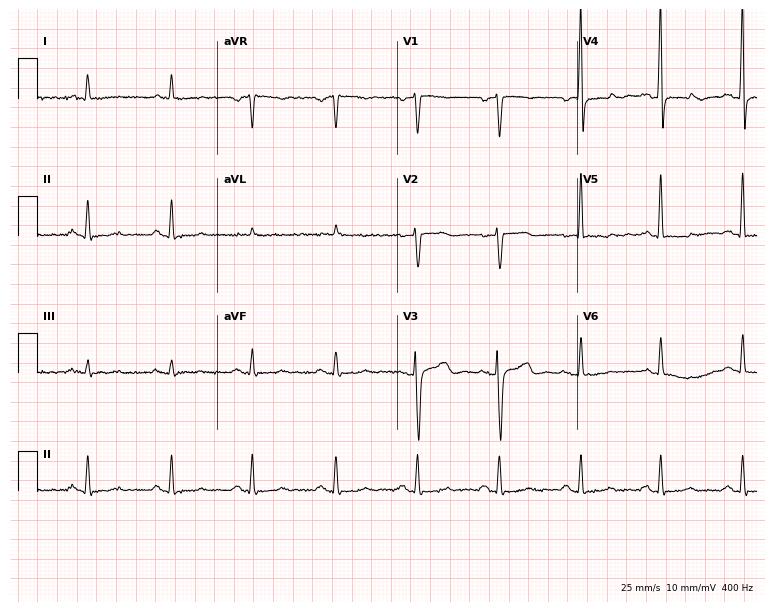
Standard 12-lead ECG recorded from a male, 49 years old (7.3-second recording at 400 Hz). None of these six findings is recorded: first-degree AV block, right bundle branch block, left bundle branch block, sinus bradycardia, atrial fibrillation, sinus tachycardia.